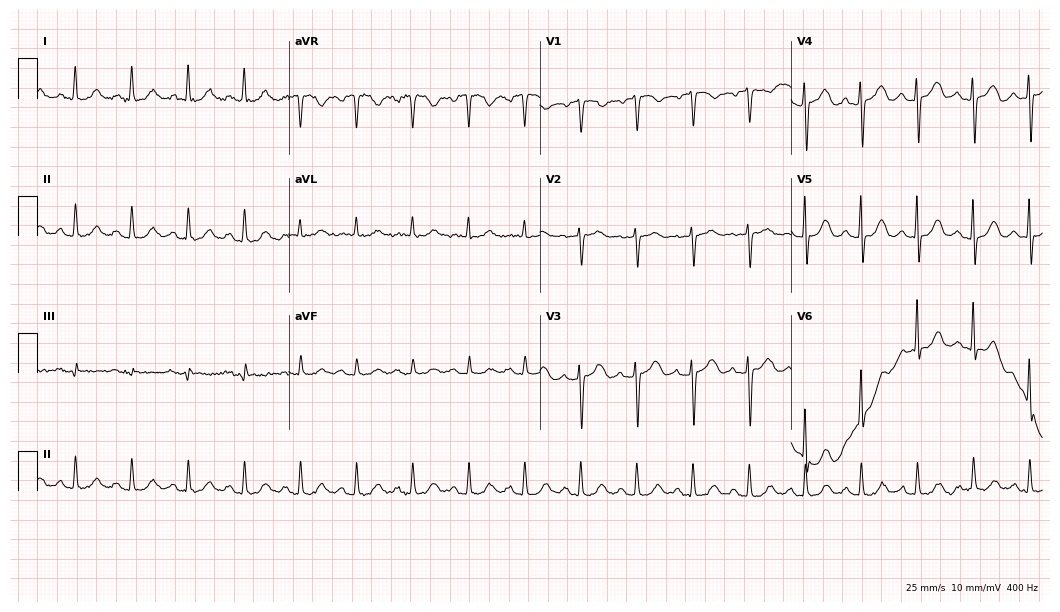
Standard 12-lead ECG recorded from a 79-year-old female patient. The tracing shows sinus tachycardia (a sinus rate of 100 beats per minute or more).